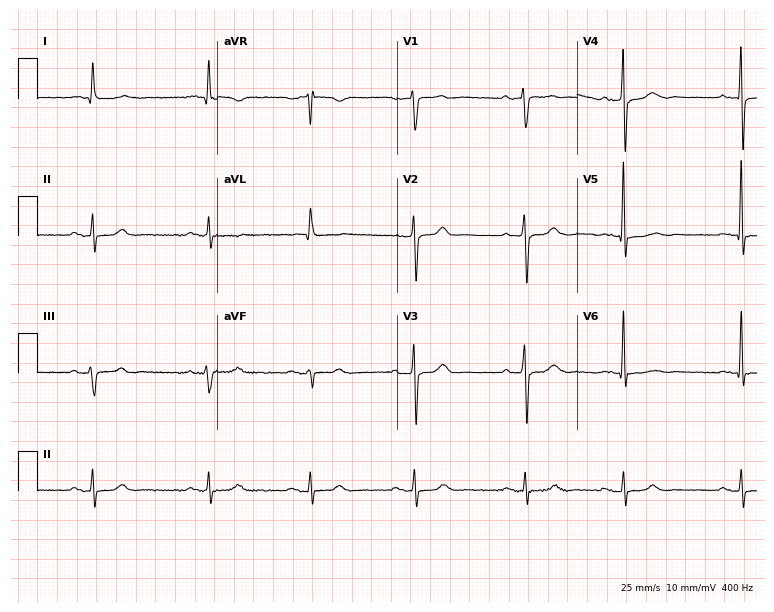
12-lead ECG (7.3-second recording at 400 Hz) from a man, 83 years old. Screened for six findings — first-degree AV block, right bundle branch block, left bundle branch block, sinus bradycardia, atrial fibrillation, sinus tachycardia — none is recorded. Findings outside these six are not listed.